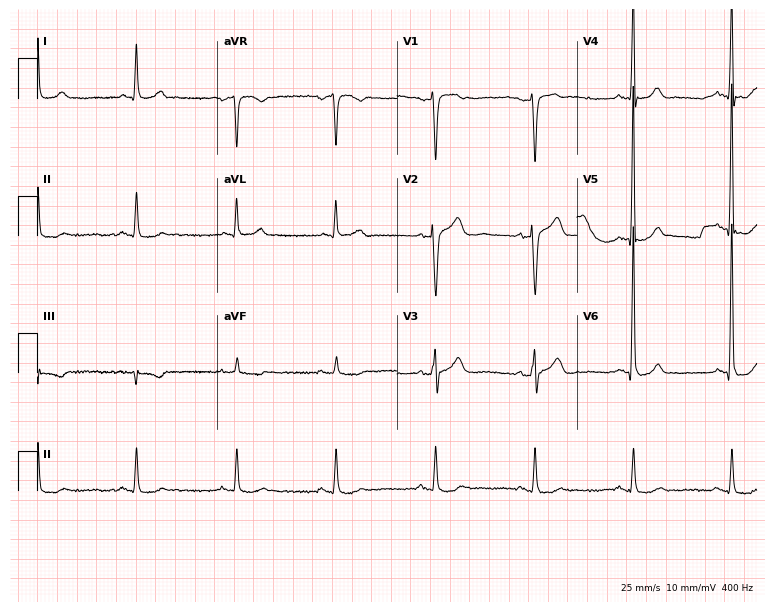
Electrocardiogram (7.3-second recording at 400 Hz), a 78-year-old male patient. Overall reading on record: normal ECG.